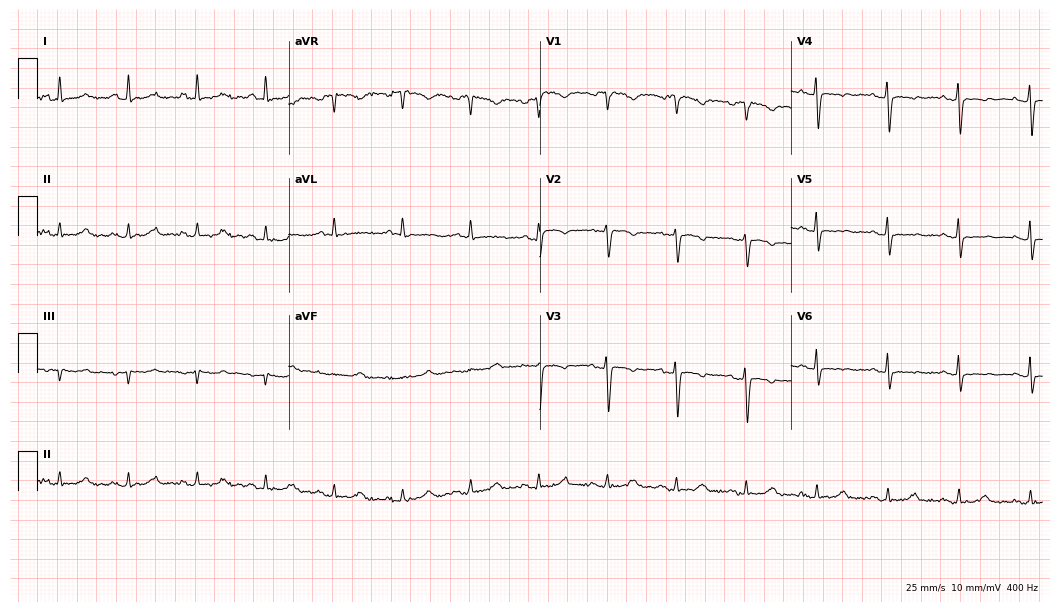
12-lead ECG from a 65-year-old female patient. No first-degree AV block, right bundle branch block, left bundle branch block, sinus bradycardia, atrial fibrillation or sinus tachycardia recorded for this tracing.